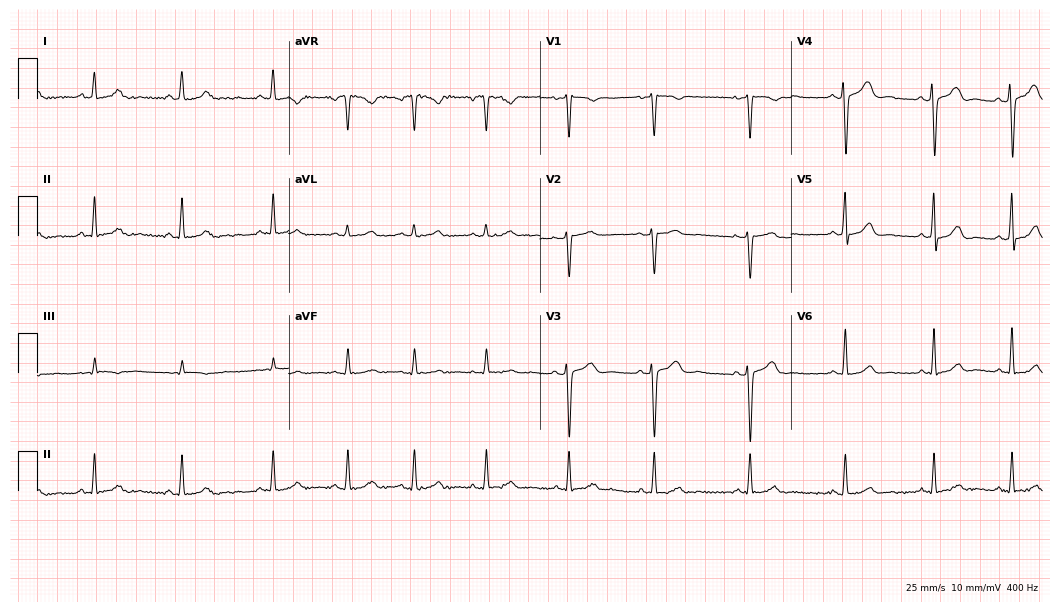
Resting 12-lead electrocardiogram. Patient: a 30-year-old woman. Read as a normal ECG.